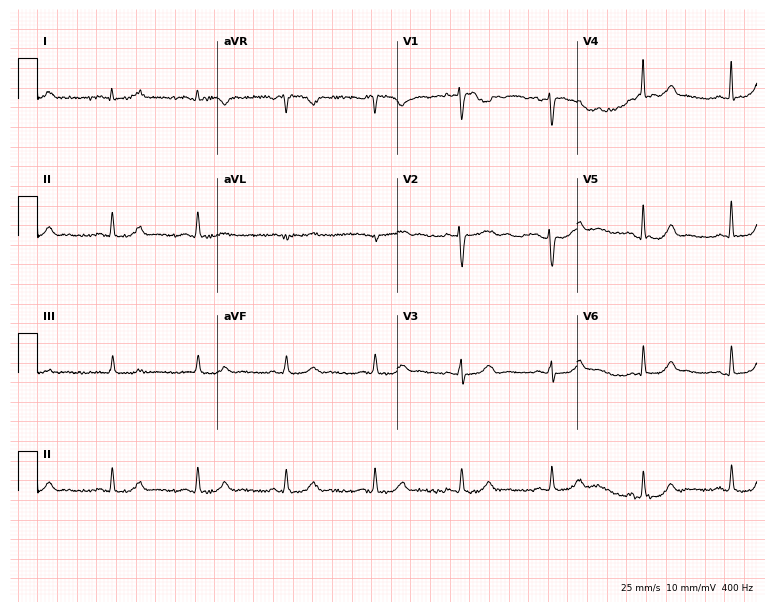
Resting 12-lead electrocardiogram. Patient: a woman, 37 years old. Read as a normal ECG.